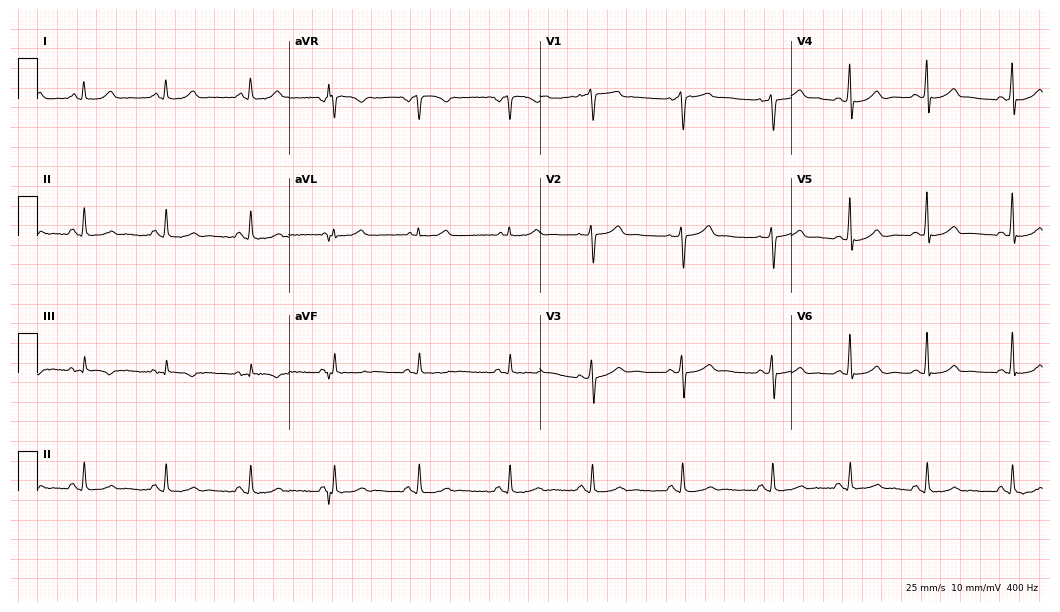
Electrocardiogram, a woman, 31 years old. Of the six screened findings (first-degree AV block, right bundle branch block, left bundle branch block, sinus bradycardia, atrial fibrillation, sinus tachycardia), none is recorded. Only these six findings were labelled.